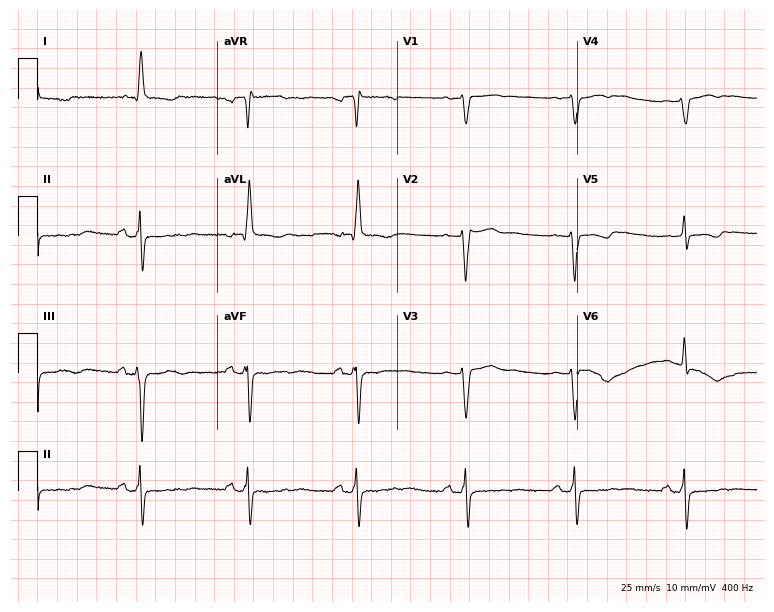
12-lead ECG (7.3-second recording at 400 Hz) from a female, 76 years old. Screened for six findings — first-degree AV block, right bundle branch block (RBBB), left bundle branch block (LBBB), sinus bradycardia, atrial fibrillation (AF), sinus tachycardia — none is recorded. Other findings, if any, are not listed.